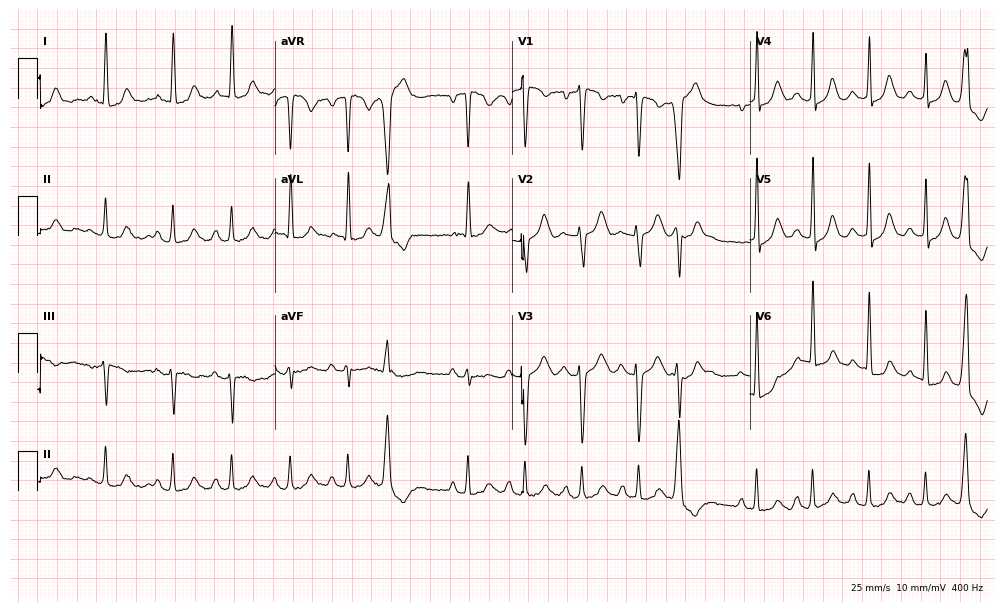
12-lead ECG from a 76-year-old female (9.7-second recording at 400 Hz). Recorded interpretation: within normal limits.